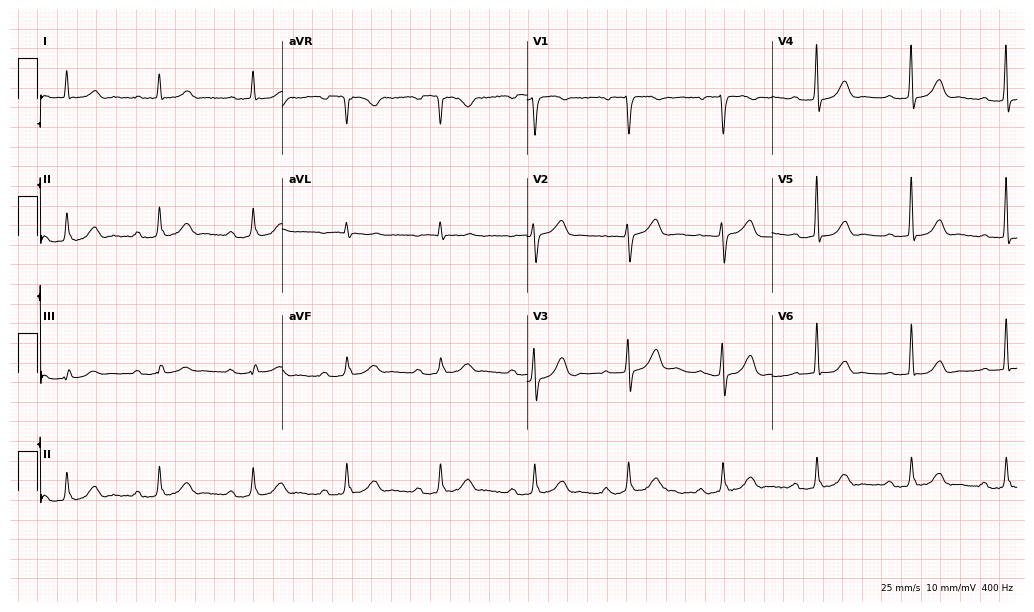
Electrocardiogram, a 75-year-old man. Of the six screened findings (first-degree AV block, right bundle branch block (RBBB), left bundle branch block (LBBB), sinus bradycardia, atrial fibrillation (AF), sinus tachycardia), none is recorded.